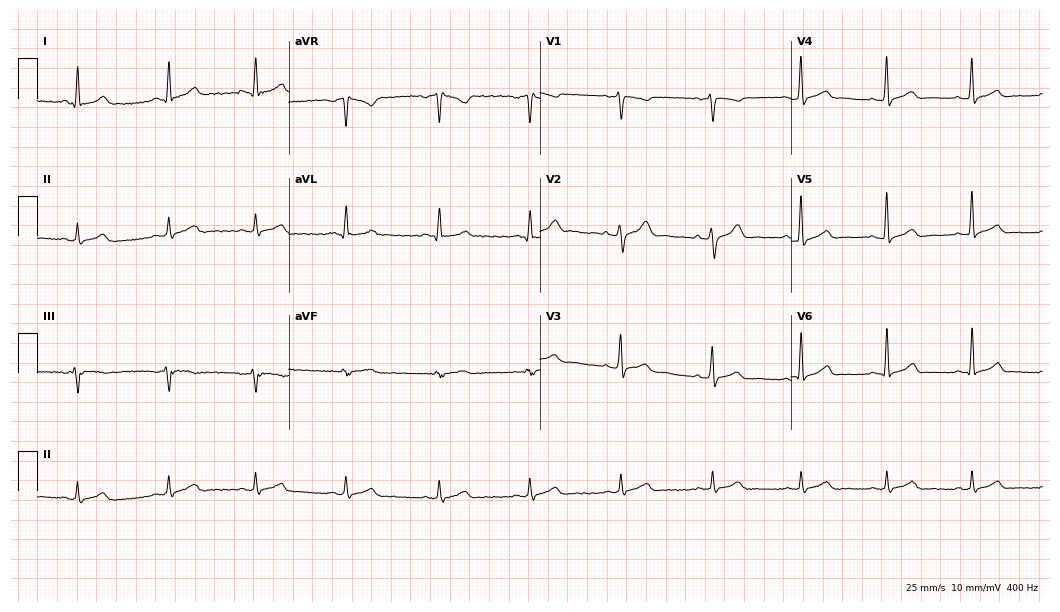
Resting 12-lead electrocardiogram. Patient: a male, 27 years old. Read as a normal ECG.